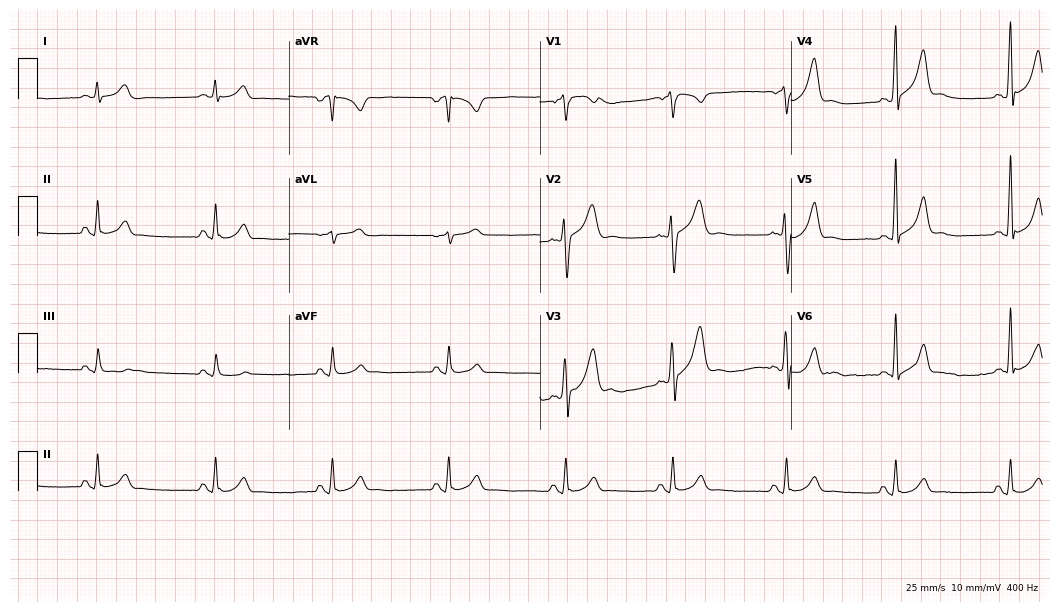
12-lead ECG from a 32-year-old female. Screened for six findings — first-degree AV block, right bundle branch block, left bundle branch block, sinus bradycardia, atrial fibrillation, sinus tachycardia — none is recorded. Only these six findings were labelled.